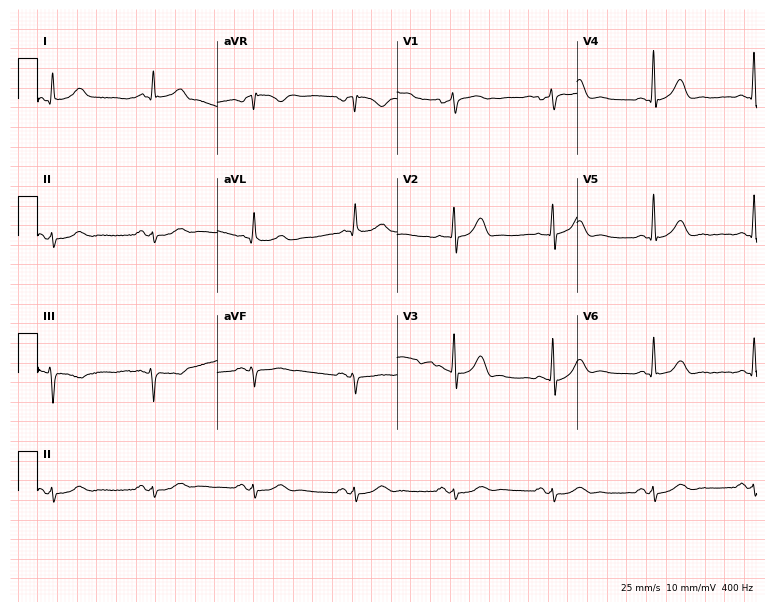
Resting 12-lead electrocardiogram. Patient: a man, 72 years old. None of these six findings is recorded: first-degree AV block, right bundle branch block, left bundle branch block, sinus bradycardia, atrial fibrillation, sinus tachycardia.